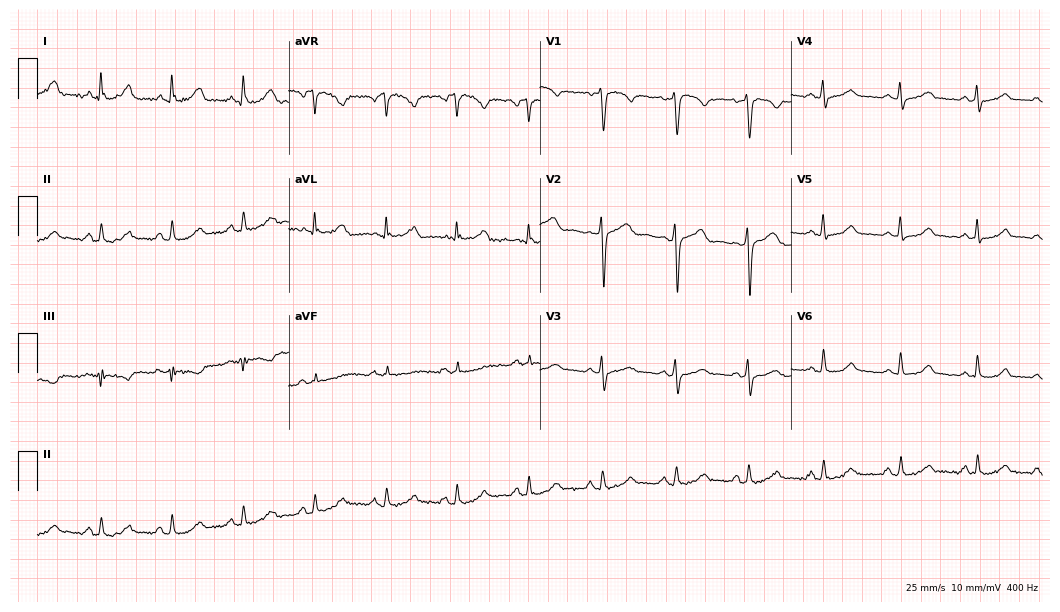
ECG (10.2-second recording at 400 Hz) — a 42-year-old female. Labelled as a normal ECG.